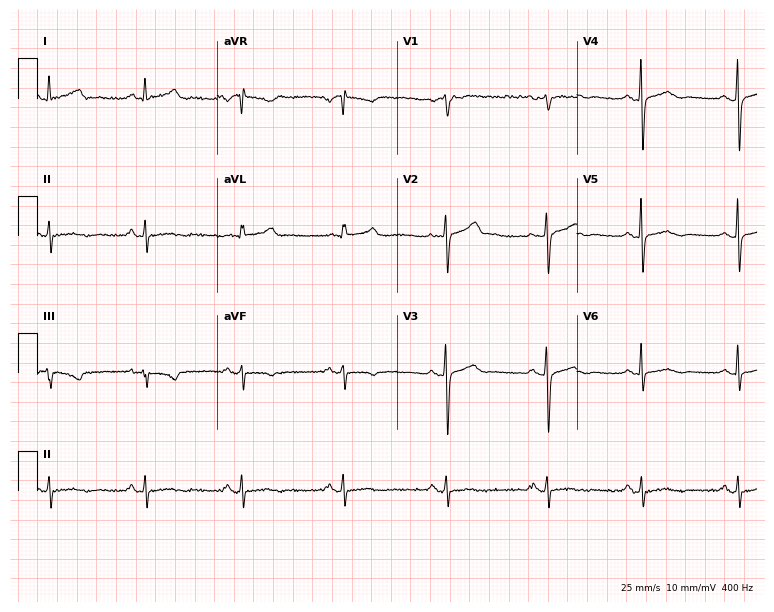
Resting 12-lead electrocardiogram (7.3-second recording at 400 Hz). Patient: a female, 52 years old. None of these six findings is recorded: first-degree AV block, right bundle branch block (RBBB), left bundle branch block (LBBB), sinus bradycardia, atrial fibrillation (AF), sinus tachycardia. Findings outside these six are not listed.